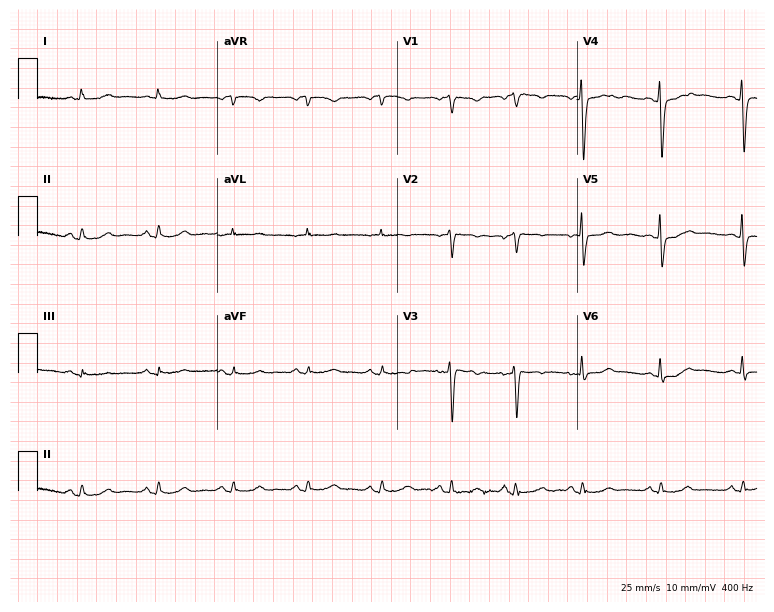
Resting 12-lead electrocardiogram (7.3-second recording at 400 Hz). Patient: a woman, 48 years old. Read as a normal ECG.